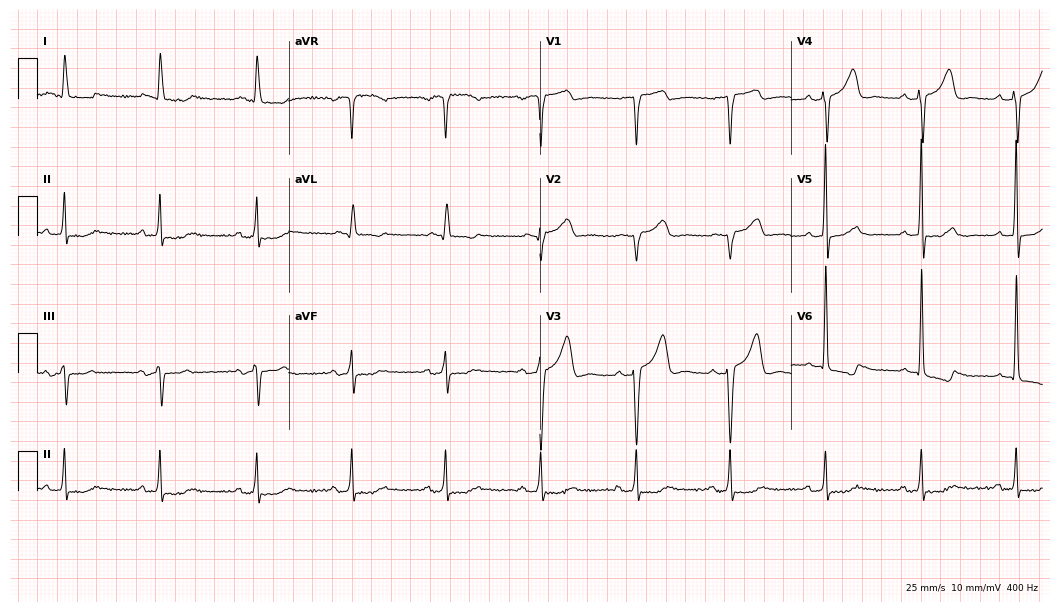
Resting 12-lead electrocardiogram (10.2-second recording at 400 Hz). Patient: a female, 66 years old. Read as a normal ECG.